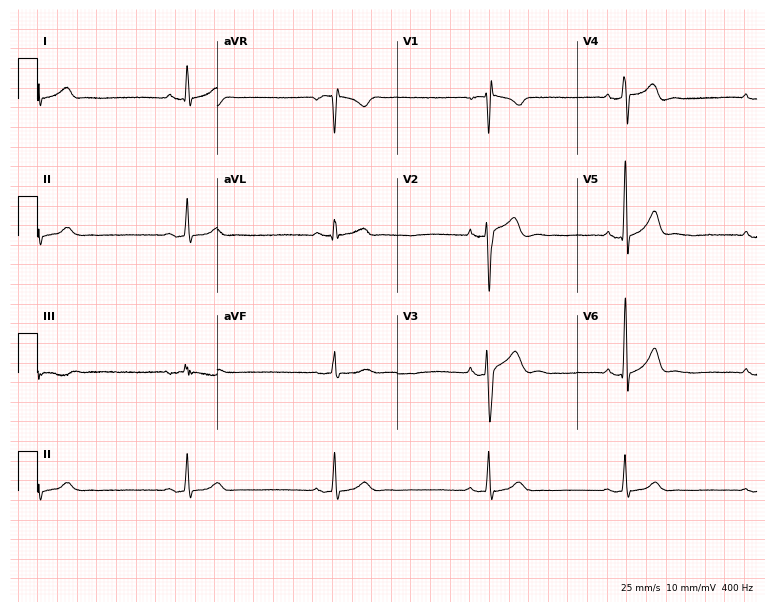
12-lead ECG from a 47-year-old man (7.3-second recording at 400 Hz). No first-degree AV block, right bundle branch block, left bundle branch block, sinus bradycardia, atrial fibrillation or sinus tachycardia recorded for this tracing.